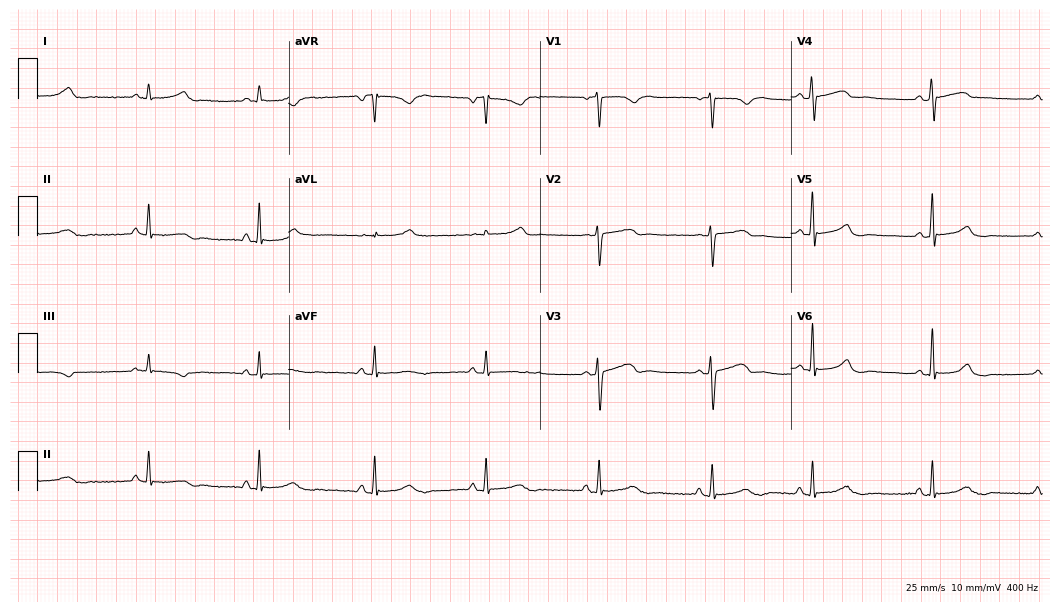
Electrocardiogram, a female patient, 49 years old. Overall reading on record: normal ECG.